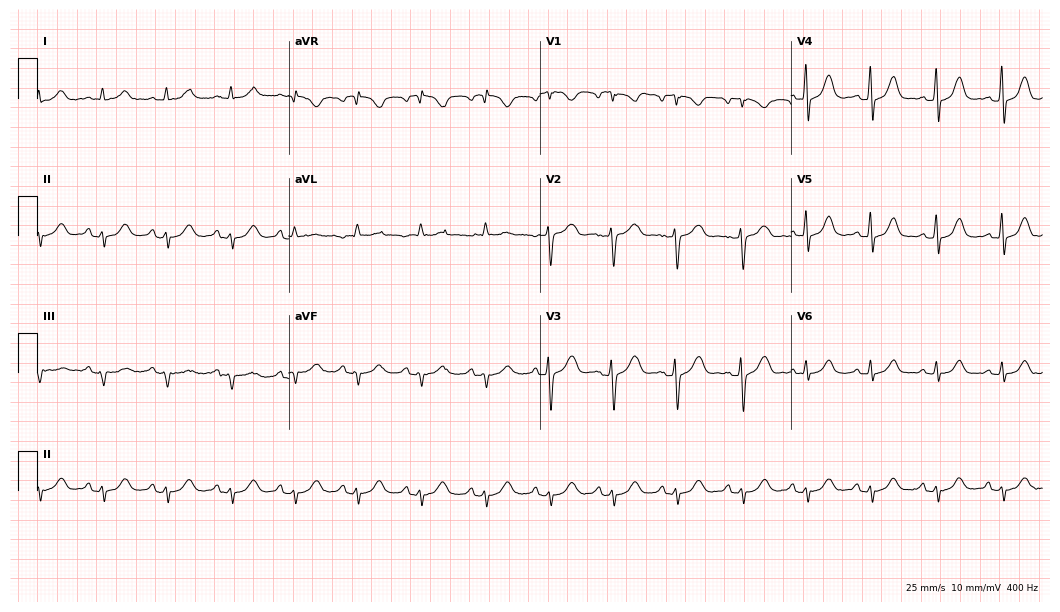
12-lead ECG from a 47-year-old female. Screened for six findings — first-degree AV block, right bundle branch block, left bundle branch block, sinus bradycardia, atrial fibrillation, sinus tachycardia — none is recorded.